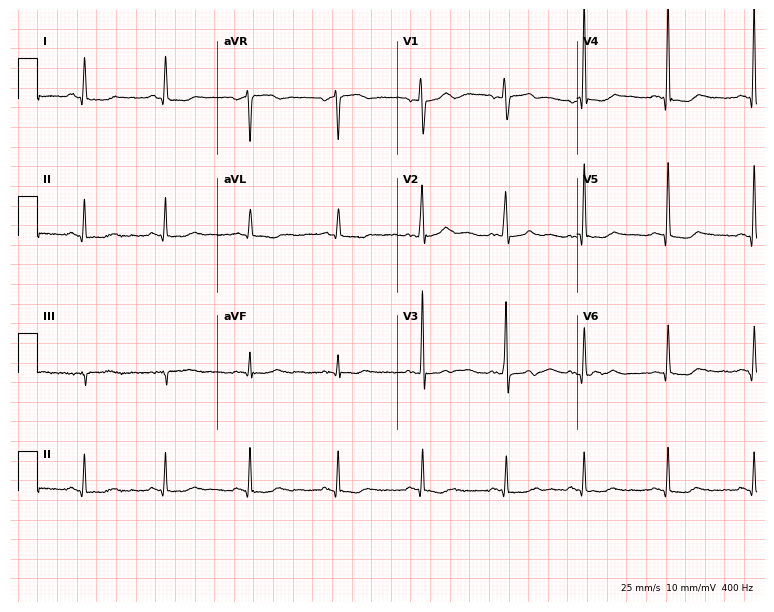
Electrocardiogram, a female, 67 years old. Of the six screened findings (first-degree AV block, right bundle branch block, left bundle branch block, sinus bradycardia, atrial fibrillation, sinus tachycardia), none is recorded.